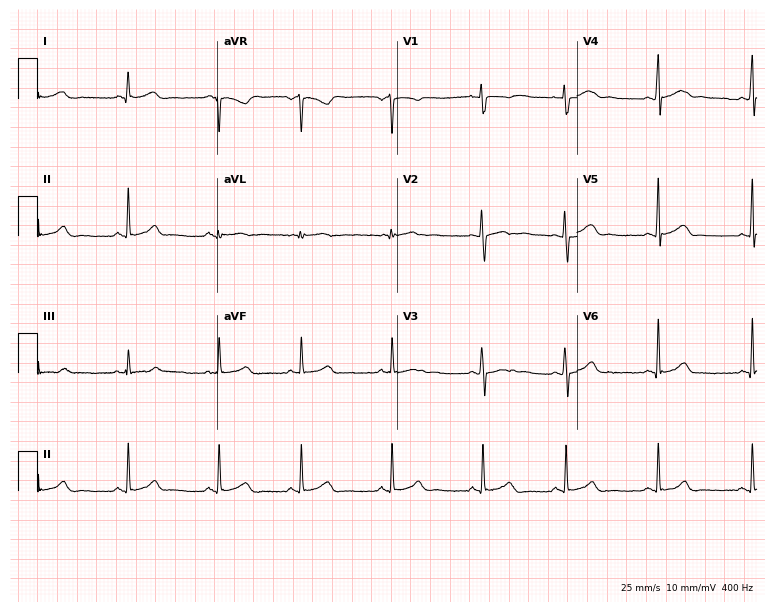
12-lead ECG (7.3-second recording at 400 Hz) from a female, 20 years old. Labelled as a normal ECG.